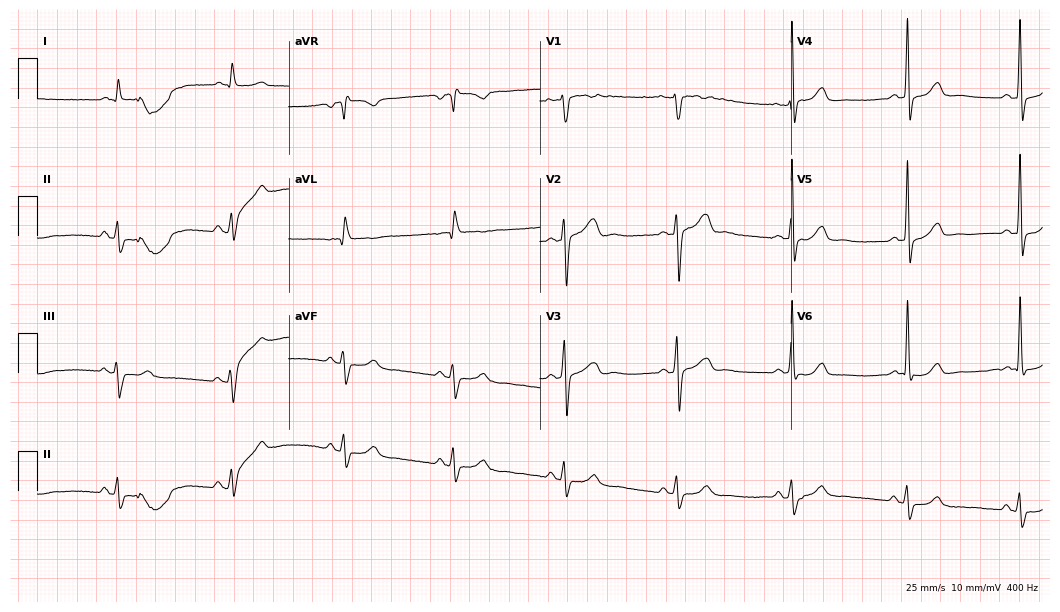
ECG — a 65-year-old male patient. Screened for six findings — first-degree AV block, right bundle branch block, left bundle branch block, sinus bradycardia, atrial fibrillation, sinus tachycardia — none is recorded.